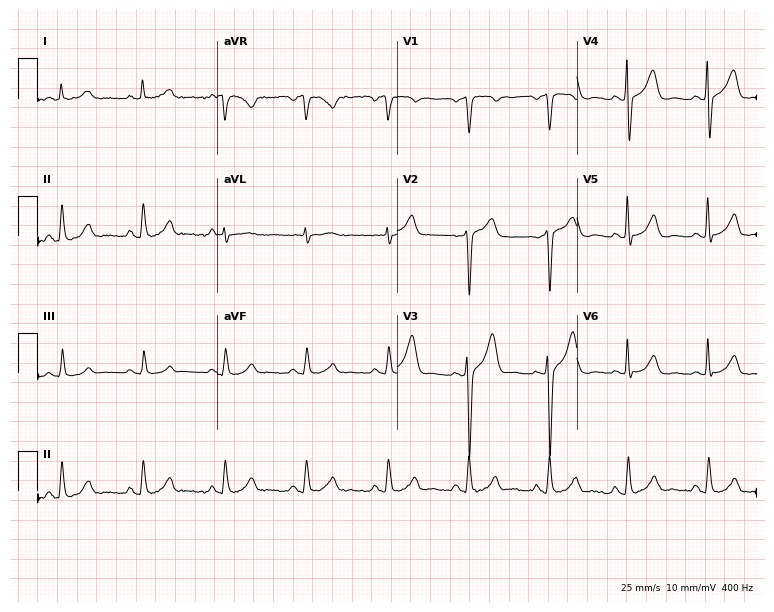
Standard 12-lead ECG recorded from a 57-year-old male patient. None of these six findings is recorded: first-degree AV block, right bundle branch block (RBBB), left bundle branch block (LBBB), sinus bradycardia, atrial fibrillation (AF), sinus tachycardia.